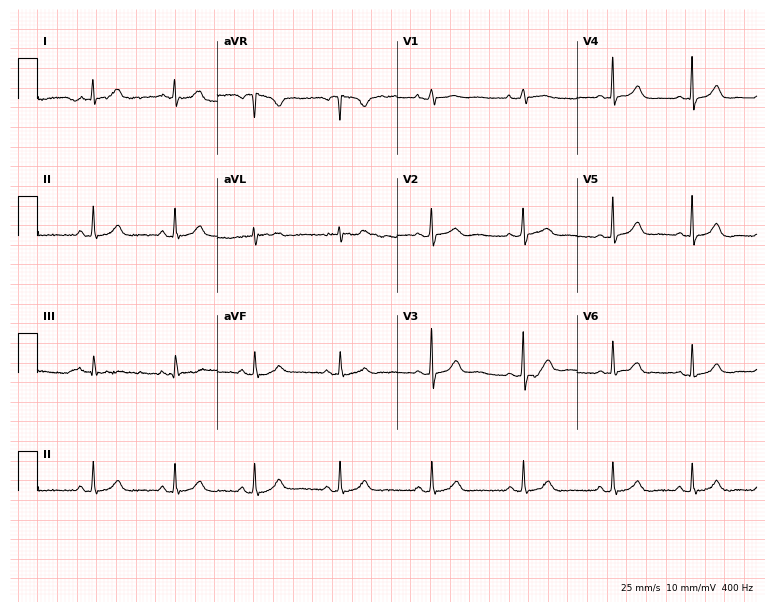
Electrocardiogram, a female, 31 years old. Overall reading on record: normal ECG.